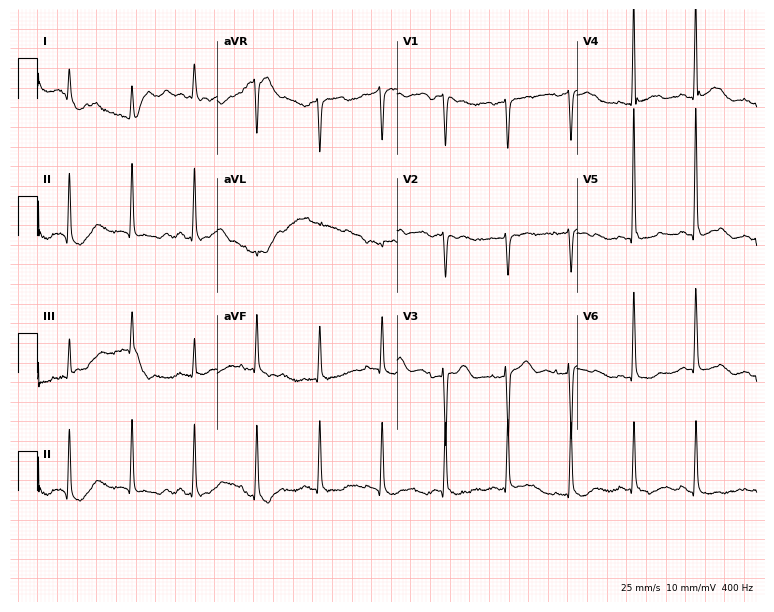
ECG (7.3-second recording at 400 Hz) — a female patient, 84 years old. Screened for six findings — first-degree AV block, right bundle branch block, left bundle branch block, sinus bradycardia, atrial fibrillation, sinus tachycardia — none is recorded.